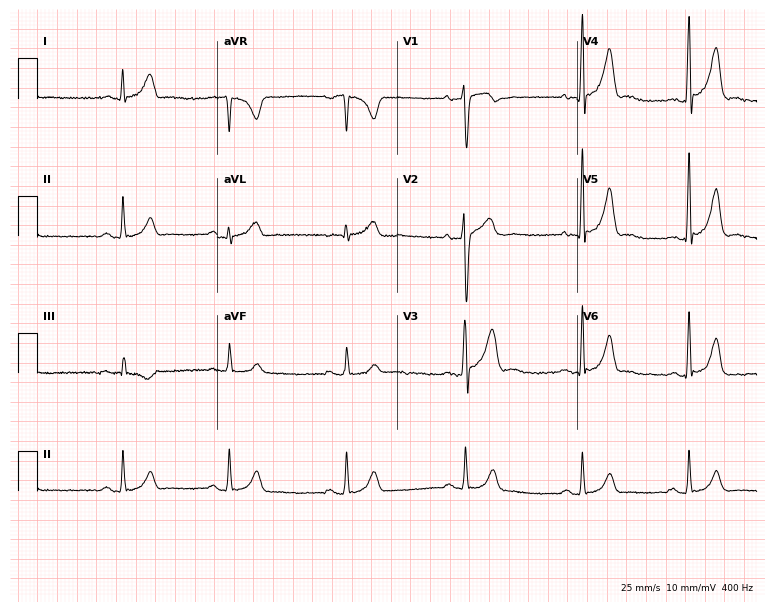
12-lead ECG (7.3-second recording at 400 Hz) from a 42-year-old male patient. Screened for six findings — first-degree AV block, right bundle branch block (RBBB), left bundle branch block (LBBB), sinus bradycardia, atrial fibrillation (AF), sinus tachycardia — none is recorded.